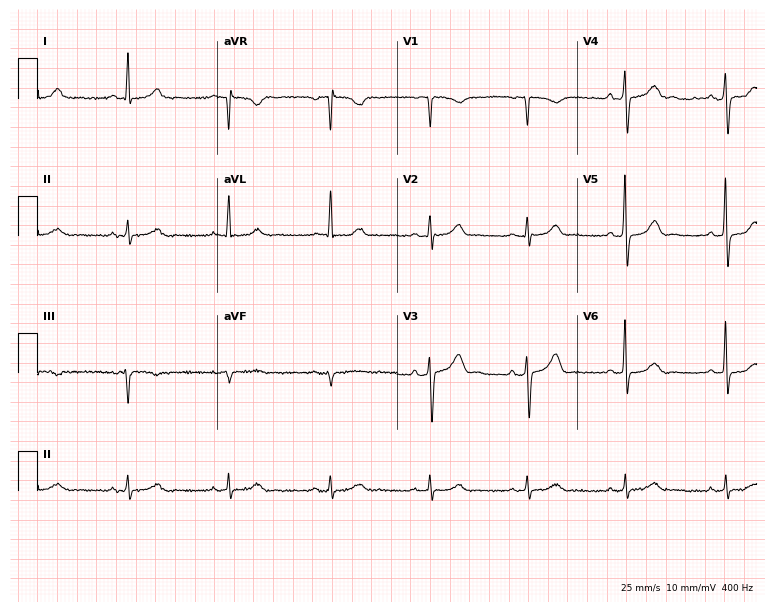
Electrocardiogram (7.3-second recording at 400 Hz), a 66-year-old male patient. Of the six screened findings (first-degree AV block, right bundle branch block (RBBB), left bundle branch block (LBBB), sinus bradycardia, atrial fibrillation (AF), sinus tachycardia), none is recorded.